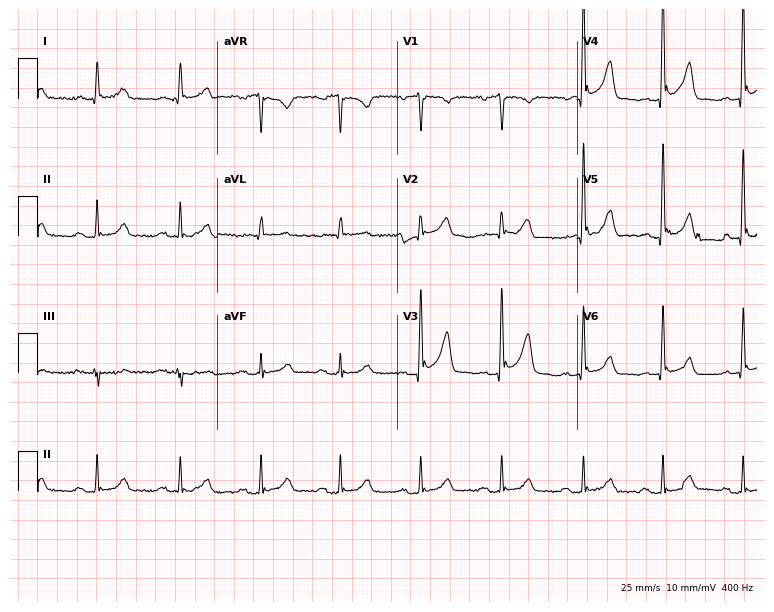
Electrocardiogram, a 68-year-old male patient. Overall reading on record: normal ECG.